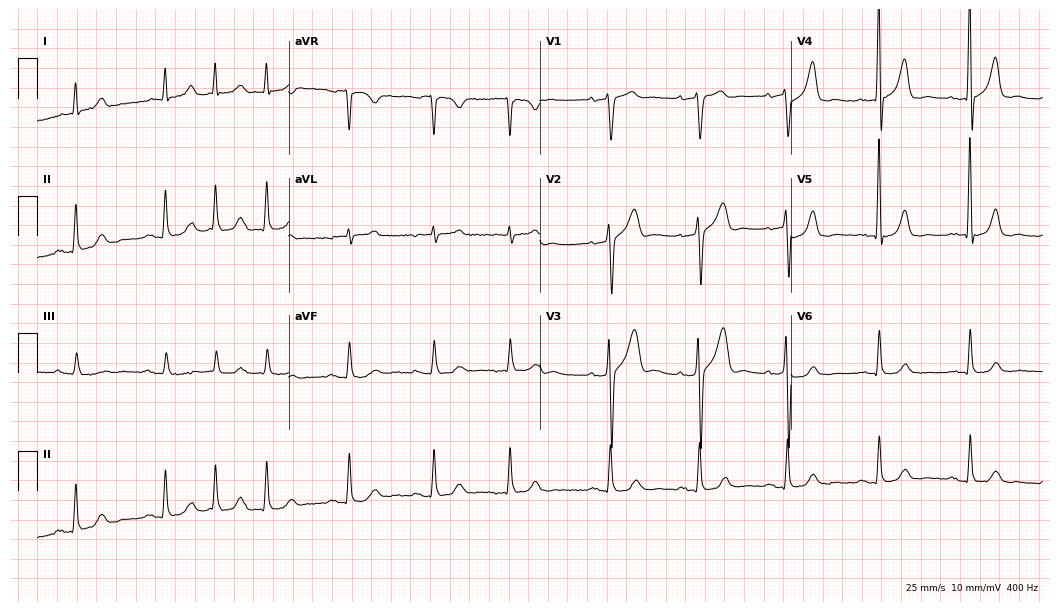
Standard 12-lead ECG recorded from an 82-year-old male. None of these six findings is recorded: first-degree AV block, right bundle branch block (RBBB), left bundle branch block (LBBB), sinus bradycardia, atrial fibrillation (AF), sinus tachycardia.